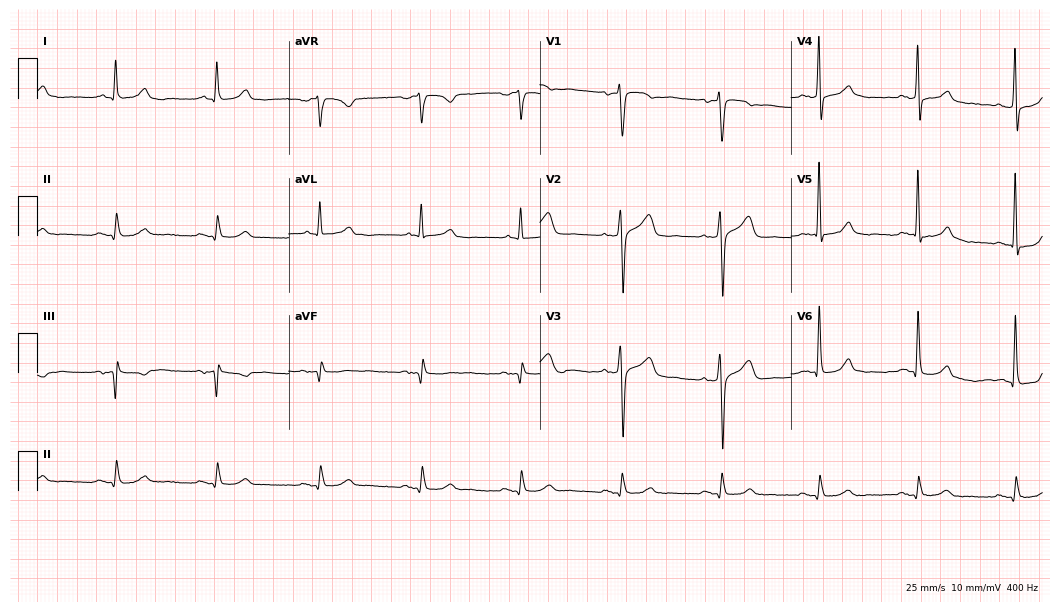
12-lead ECG from a 51-year-old male patient. No first-degree AV block, right bundle branch block (RBBB), left bundle branch block (LBBB), sinus bradycardia, atrial fibrillation (AF) or sinus tachycardia recorded for this tracing. Other findings, if any, are not listed.